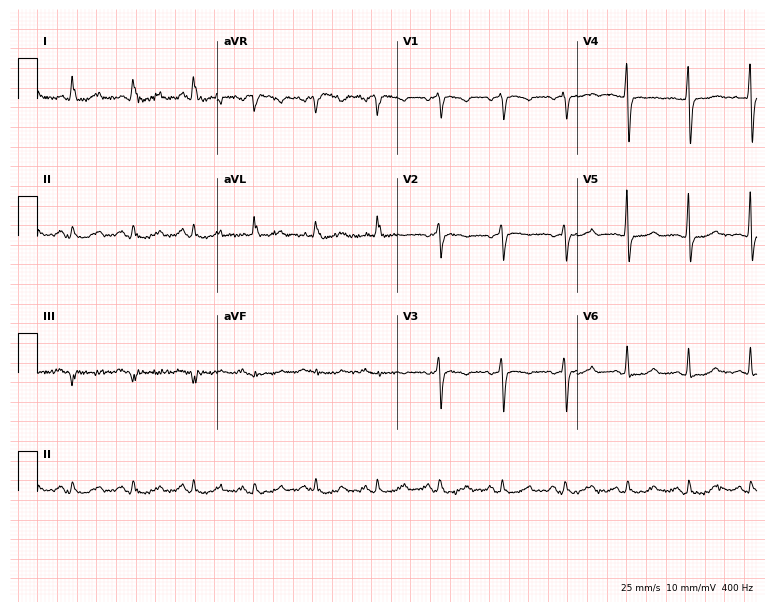
ECG (7.3-second recording at 400 Hz) — a female patient, 59 years old. Screened for six findings — first-degree AV block, right bundle branch block (RBBB), left bundle branch block (LBBB), sinus bradycardia, atrial fibrillation (AF), sinus tachycardia — none is recorded.